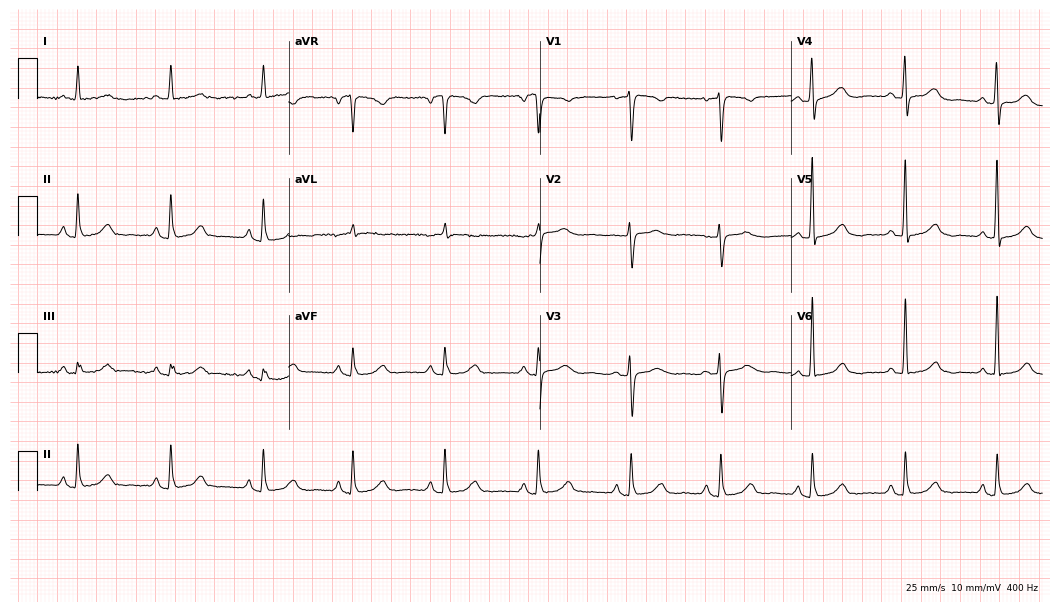
Resting 12-lead electrocardiogram (10.2-second recording at 400 Hz). Patient: a 73-year-old female. Read as a normal ECG.